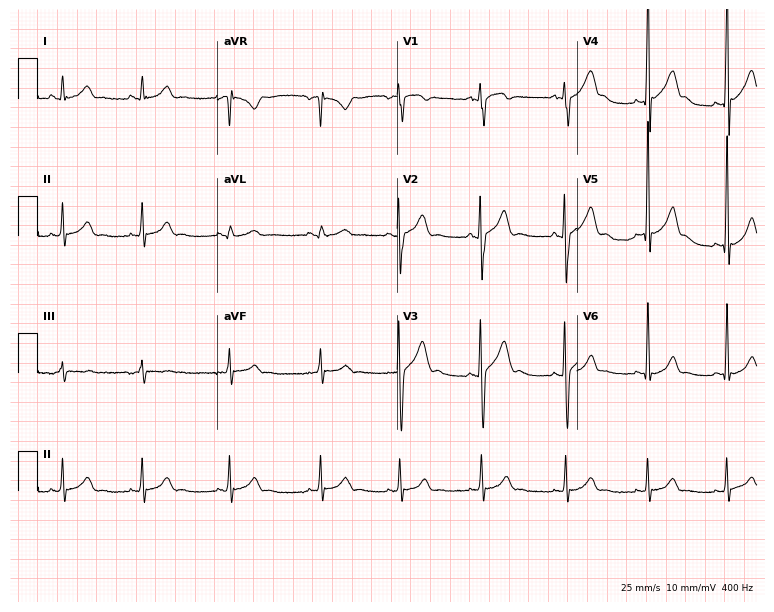
Electrocardiogram, a 19-year-old male patient. Overall reading on record: normal ECG.